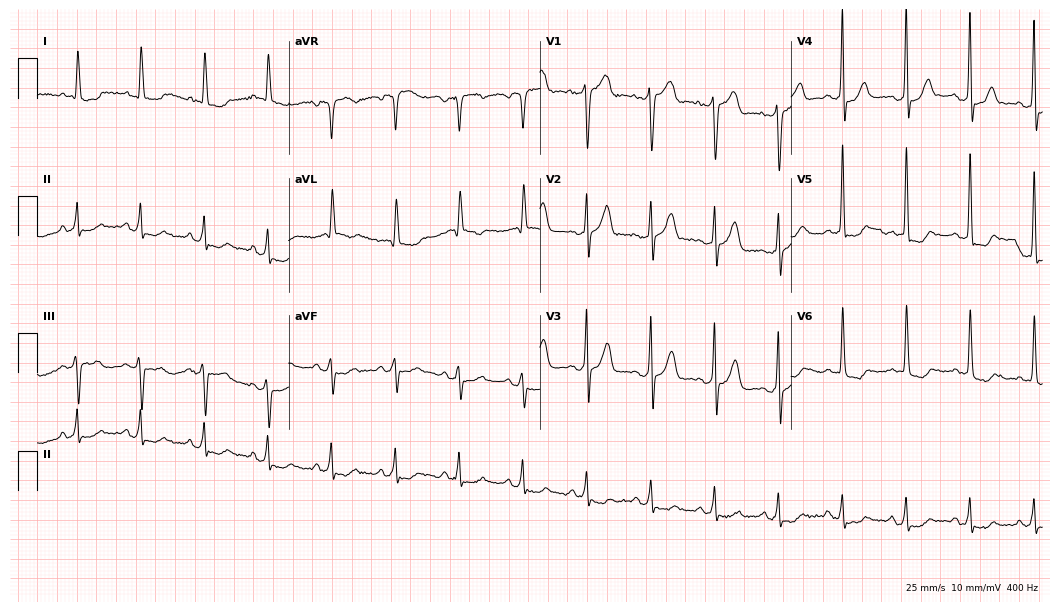
12-lead ECG from a man, 78 years old (10.2-second recording at 400 Hz). No first-degree AV block, right bundle branch block, left bundle branch block, sinus bradycardia, atrial fibrillation or sinus tachycardia recorded for this tracing.